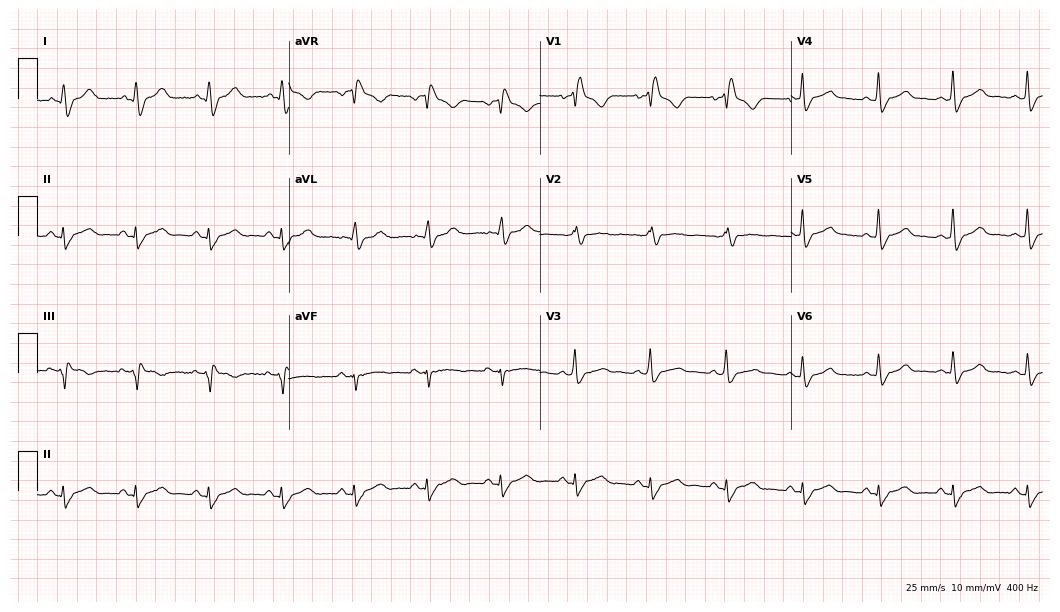
ECG — a female patient, 43 years old. Findings include right bundle branch block.